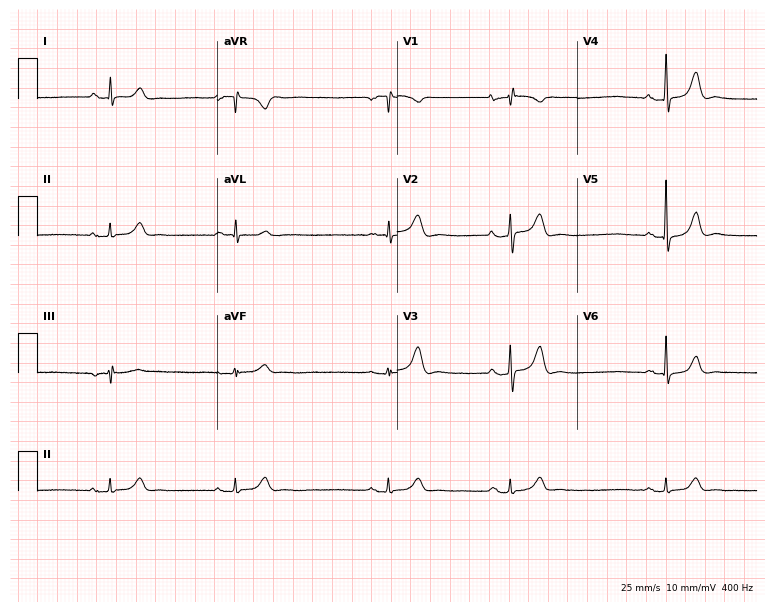
Standard 12-lead ECG recorded from a female, 65 years old (7.3-second recording at 400 Hz). The tracing shows sinus bradycardia (a sinus rate of 50 beats per minute or less).